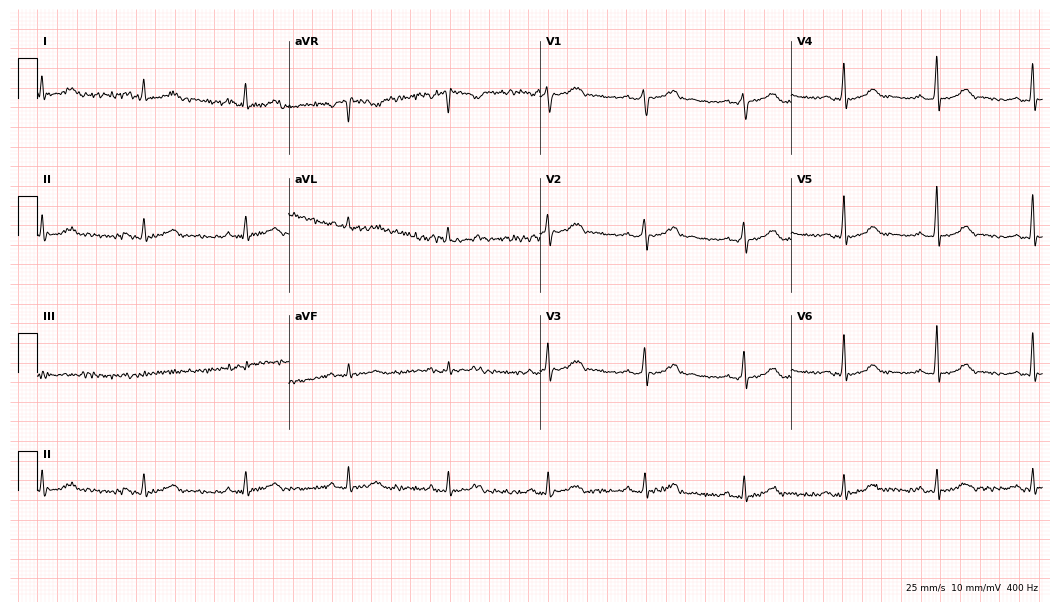
Resting 12-lead electrocardiogram (10.2-second recording at 400 Hz). Patient: a female, 46 years old. Read as a normal ECG.